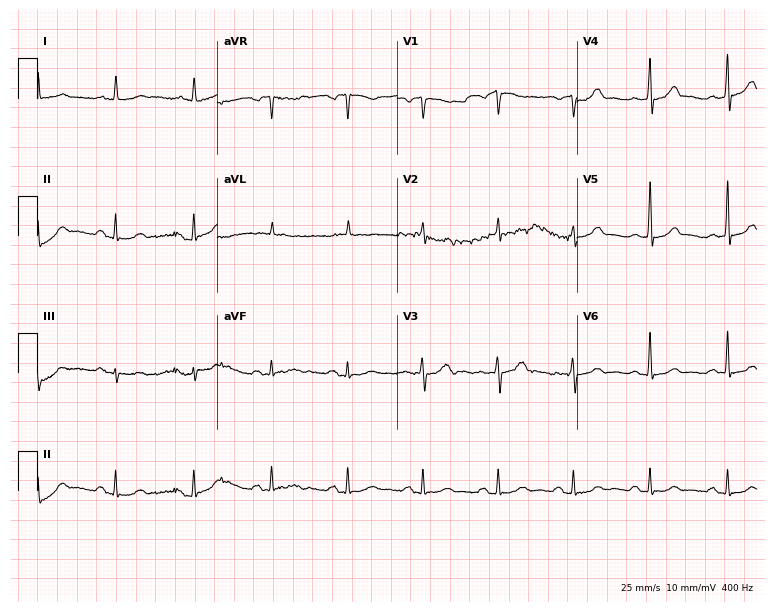
12-lead ECG from a man, 70 years old (7.3-second recording at 400 Hz). No first-degree AV block, right bundle branch block (RBBB), left bundle branch block (LBBB), sinus bradycardia, atrial fibrillation (AF) or sinus tachycardia recorded for this tracing. Other findings, if any, are not listed.